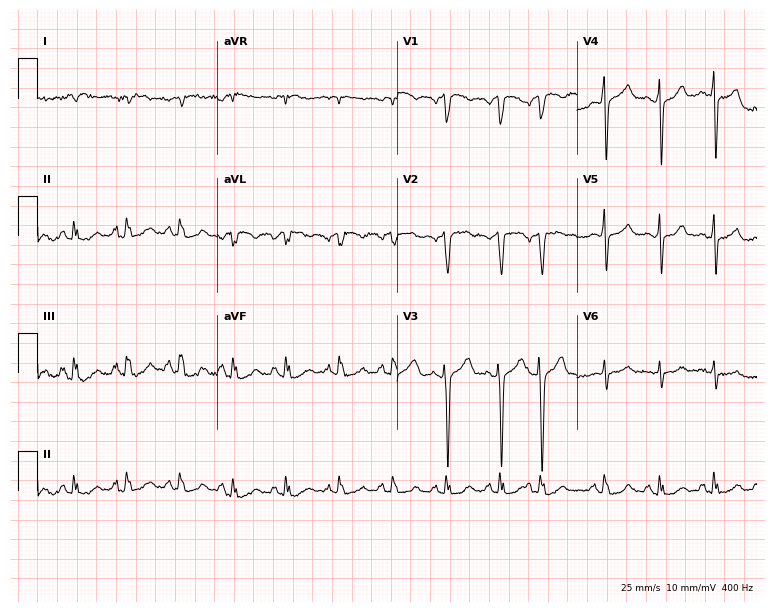
ECG — a male patient, 80 years old. Findings include sinus tachycardia (a sinus rate of 100 beats per minute or more).